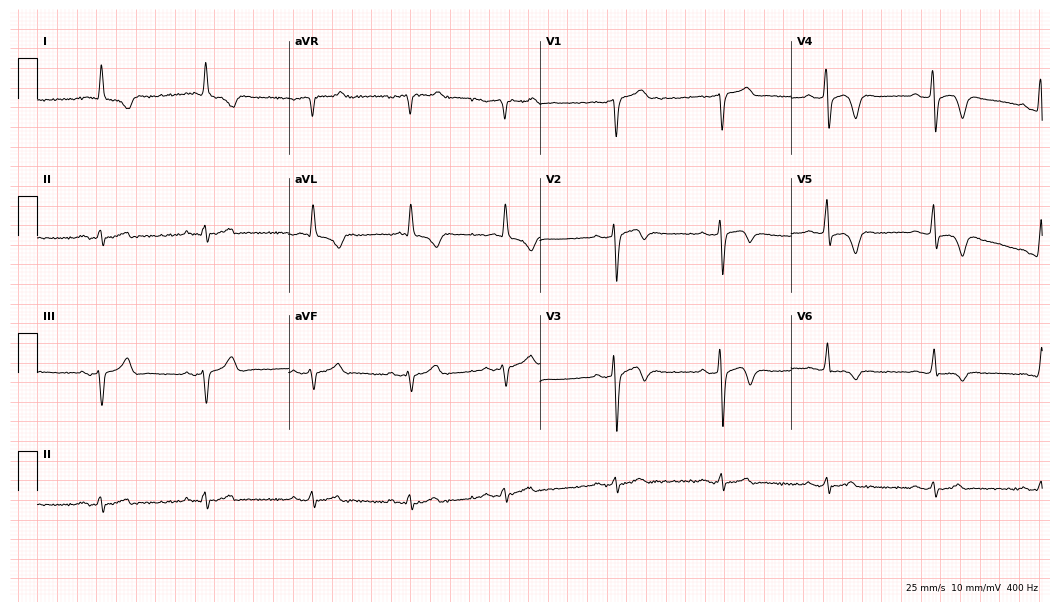
12-lead ECG (10.2-second recording at 400 Hz) from a 79-year-old male. Screened for six findings — first-degree AV block, right bundle branch block, left bundle branch block, sinus bradycardia, atrial fibrillation, sinus tachycardia — none is recorded. Other findings, if any, are not listed.